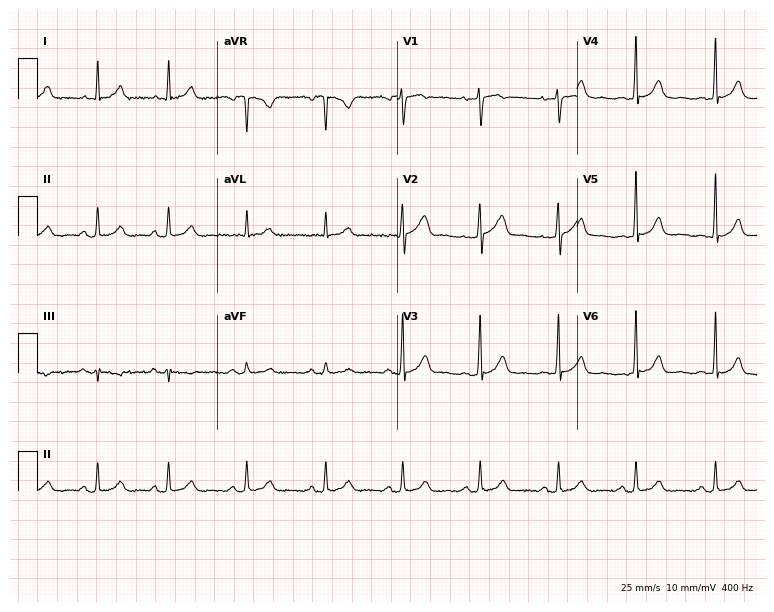
ECG — a 42-year-old female patient. Screened for six findings — first-degree AV block, right bundle branch block, left bundle branch block, sinus bradycardia, atrial fibrillation, sinus tachycardia — none is recorded.